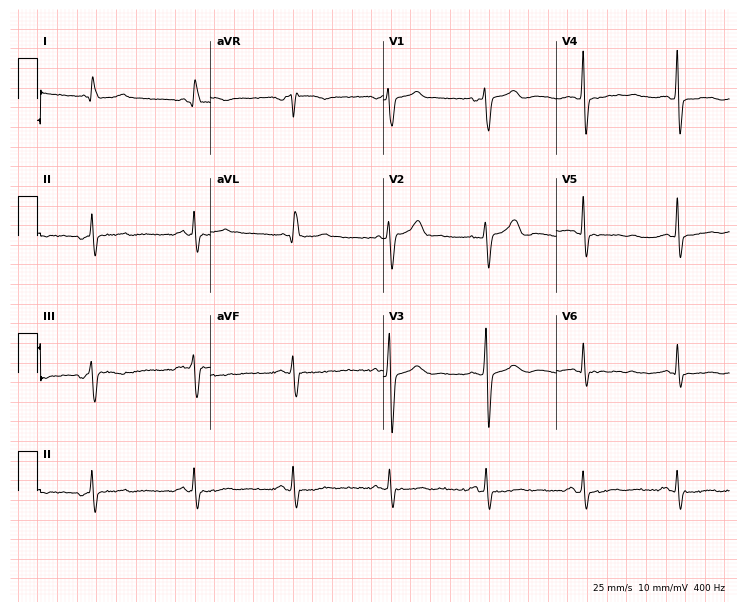
Standard 12-lead ECG recorded from a male, 50 years old. None of these six findings is recorded: first-degree AV block, right bundle branch block, left bundle branch block, sinus bradycardia, atrial fibrillation, sinus tachycardia. Only these six findings were labelled.